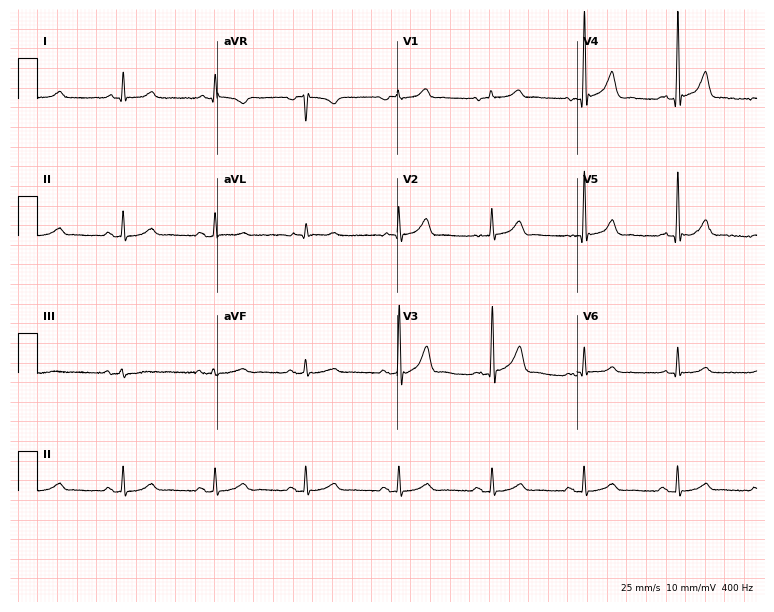
12-lead ECG from a man, 72 years old. Labelled as a normal ECG.